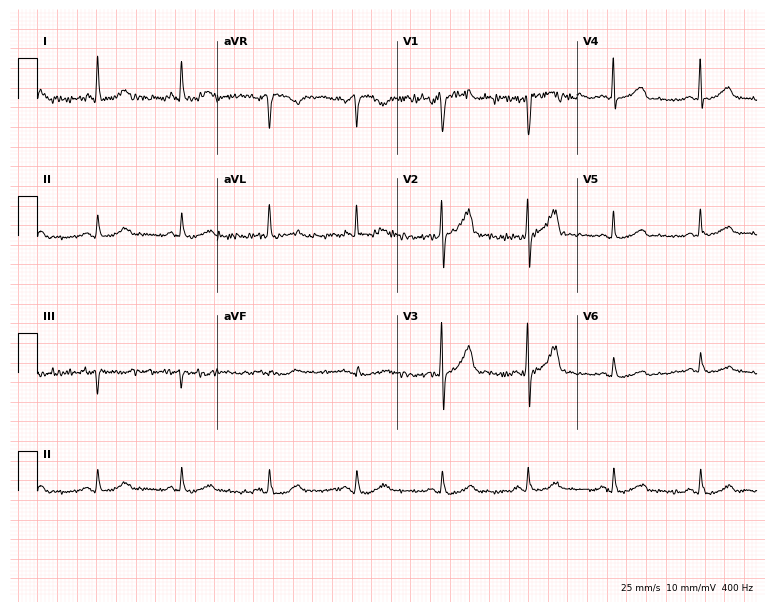
Resting 12-lead electrocardiogram. Patient: a 69-year-old male. None of these six findings is recorded: first-degree AV block, right bundle branch block, left bundle branch block, sinus bradycardia, atrial fibrillation, sinus tachycardia.